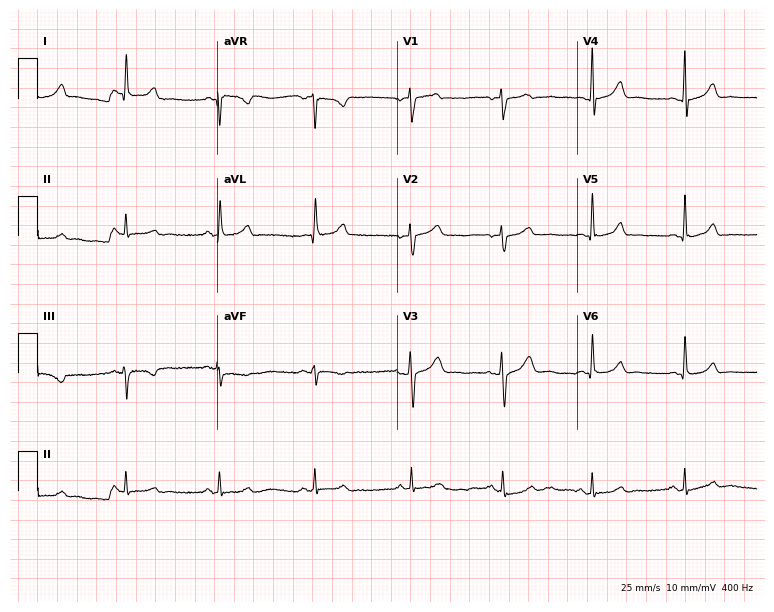
Resting 12-lead electrocardiogram (7.3-second recording at 400 Hz). Patient: a 60-year-old female. Read as a normal ECG.